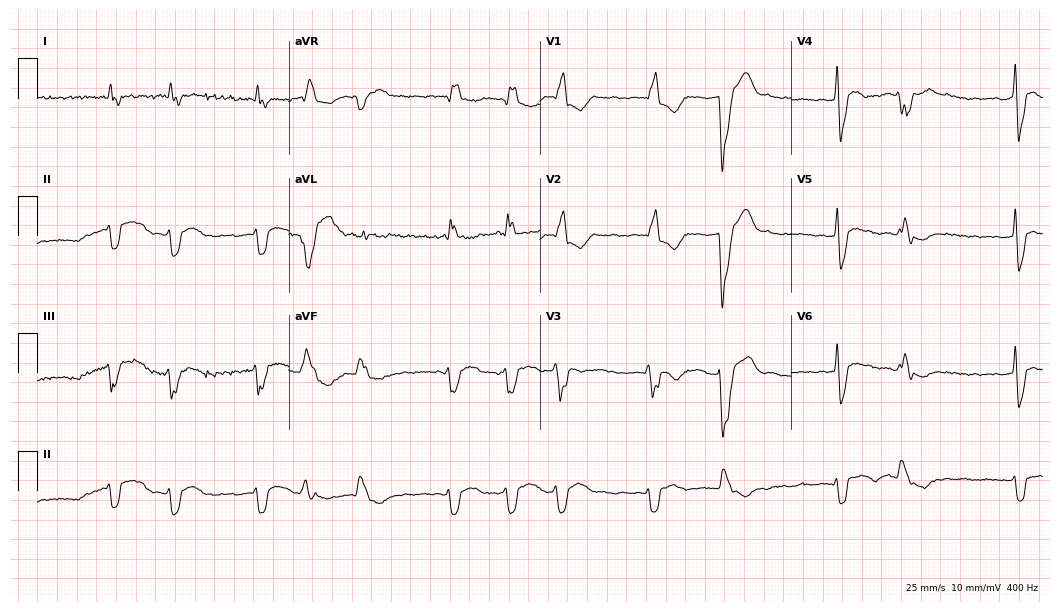
12-lead ECG from a female, 62 years old. Findings include right bundle branch block, atrial fibrillation.